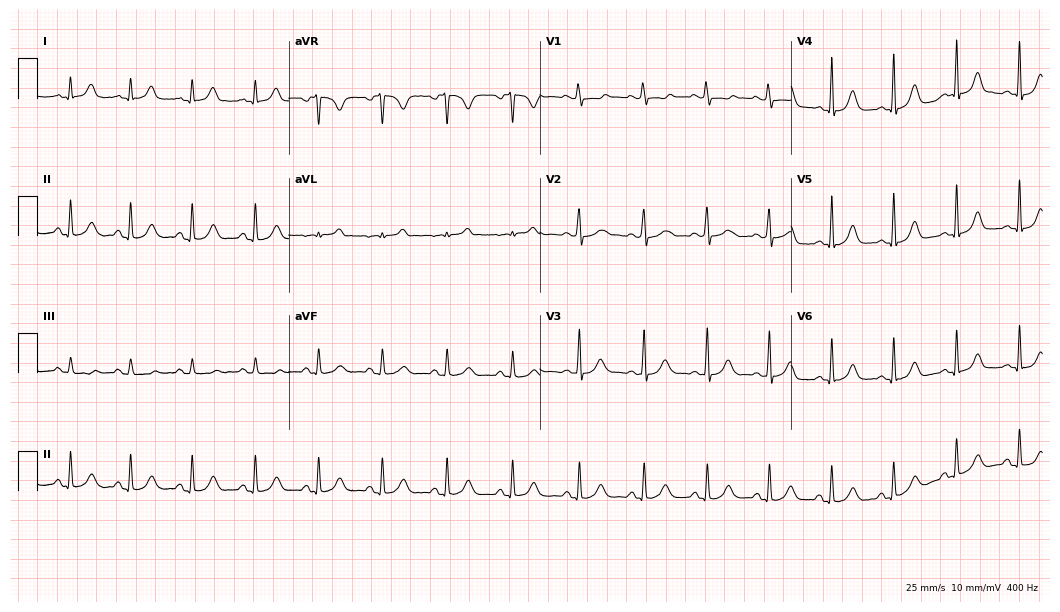
12-lead ECG from a 28-year-old female. Labelled as a normal ECG.